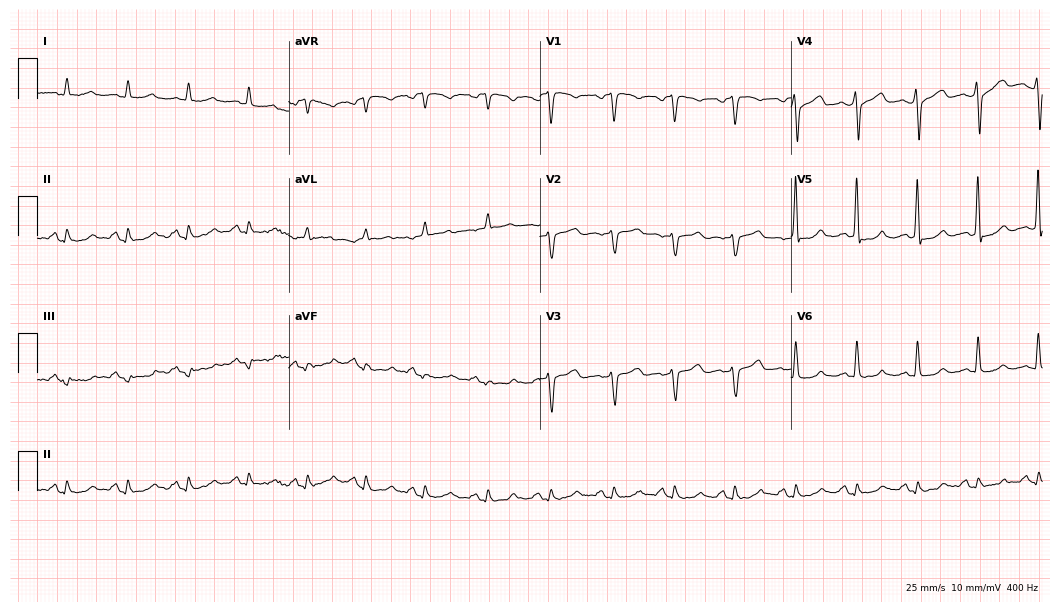
Resting 12-lead electrocardiogram (10.2-second recording at 400 Hz). Patient: a 57-year-old male. None of these six findings is recorded: first-degree AV block, right bundle branch block (RBBB), left bundle branch block (LBBB), sinus bradycardia, atrial fibrillation (AF), sinus tachycardia.